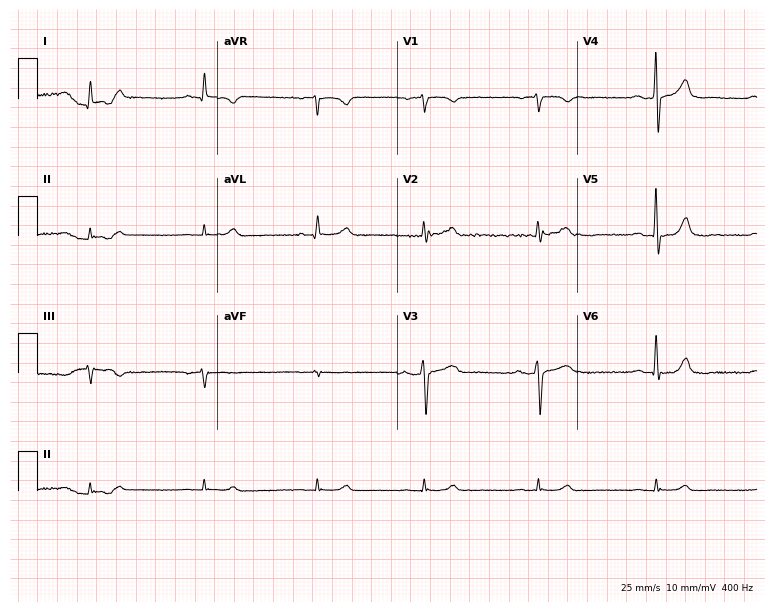
12-lead ECG from a 67-year-old male (7.3-second recording at 400 Hz). Recorded interpretation: within normal limits.